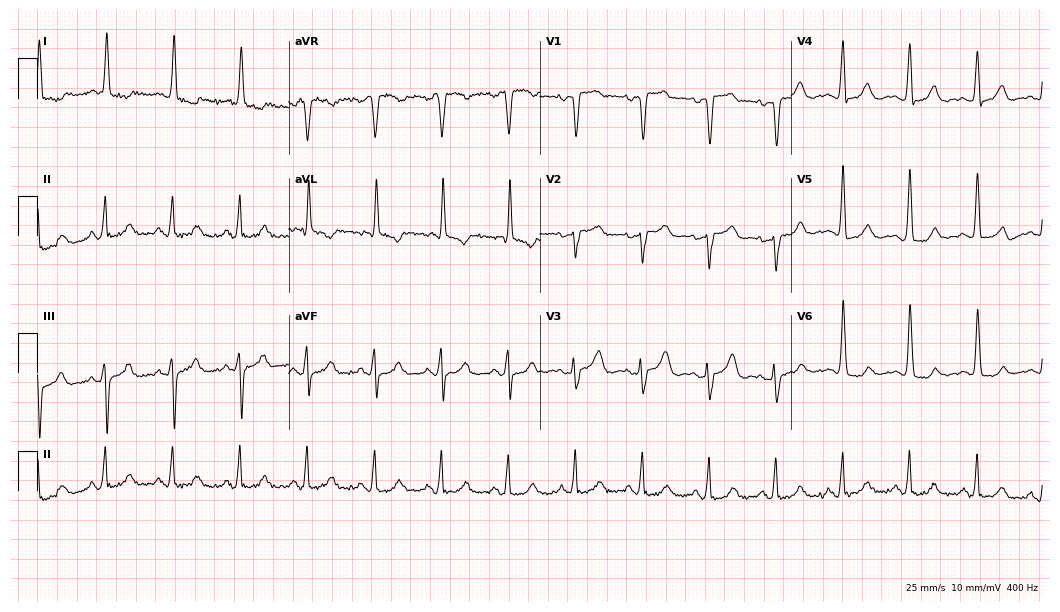
12-lead ECG from a female, 69 years old (10.2-second recording at 400 Hz). No first-degree AV block, right bundle branch block (RBBB), left bundle branch block (LBBB), sinus bradycardia, atrial fibrillation (AF) or sinus tachycardia recorded for this tracing. Findings outside these six are not listed.